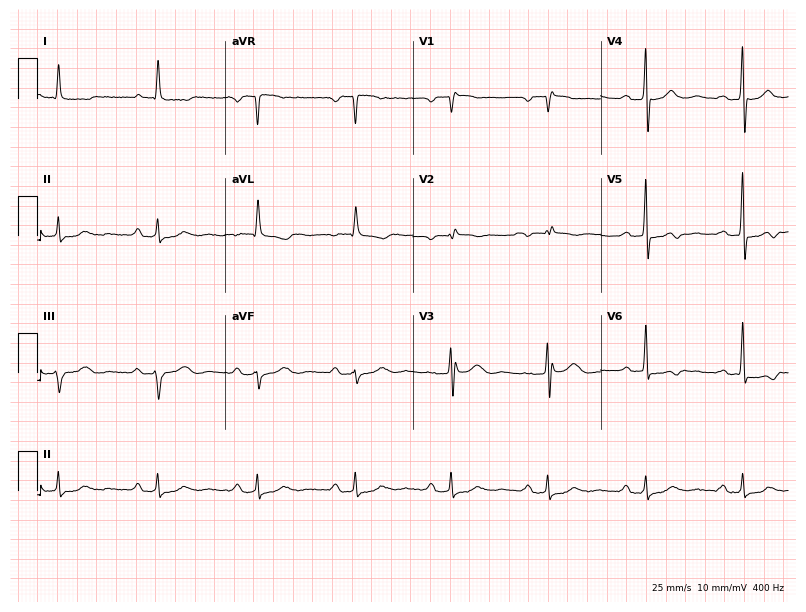
Standard 12-lead ECG recorded from a 77-year-old man. The tracing shows first-degree AV block.